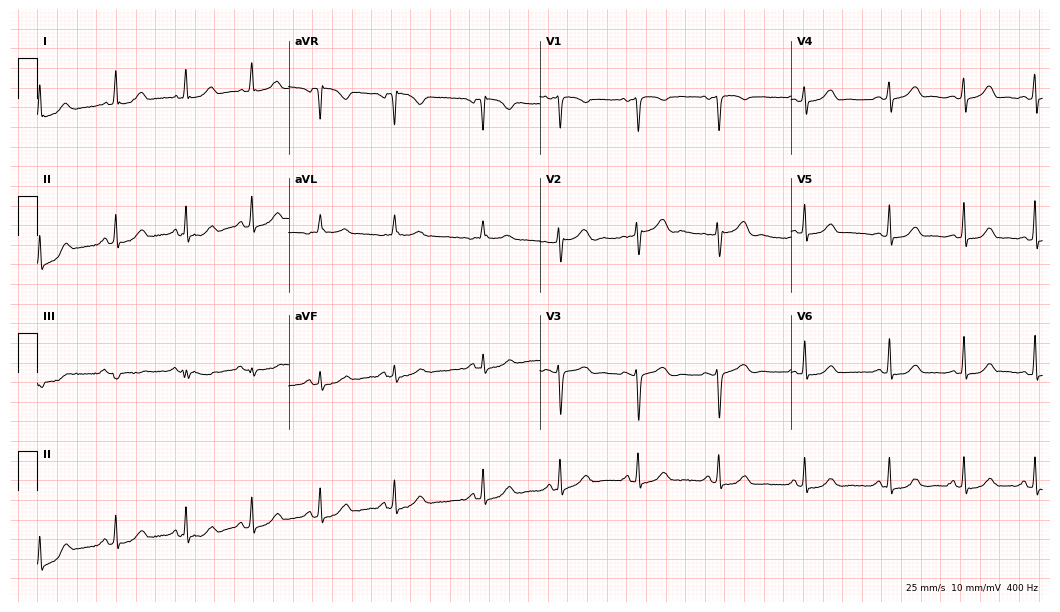
Resting 12-lead electrocardiogram (10.2-second recording at 400 Hz). Patient: a 29-year-old female. Read as a normal ECG.